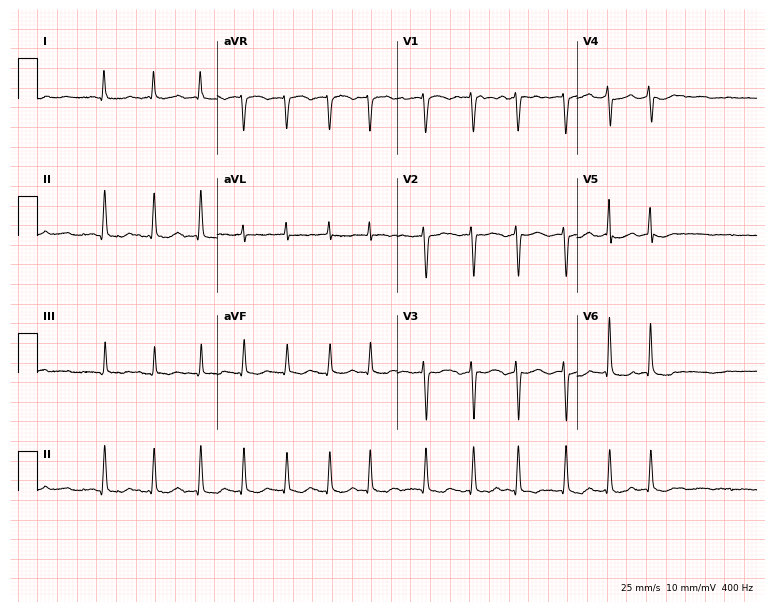
12-lead ECG from a female, 83 years old (7.3-second recording at 400 Hz). Shows atrial fibrillation (AF).